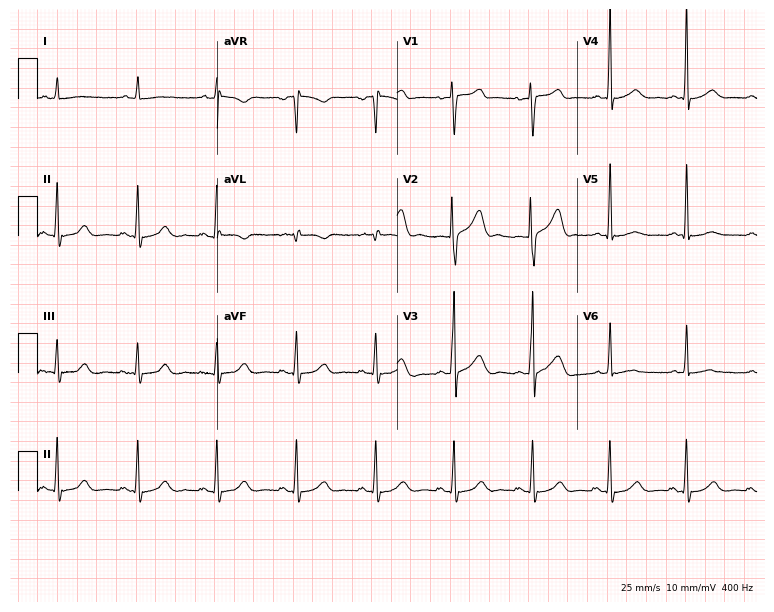
Standard 12-lead ECG recorded from a woman, 52 years old. None of these six findings is recorded: first-degree AV block, right bundle branch block, left bundle branch block, sinus bradycardia, atrial fibrillation, sinus tachycardia.